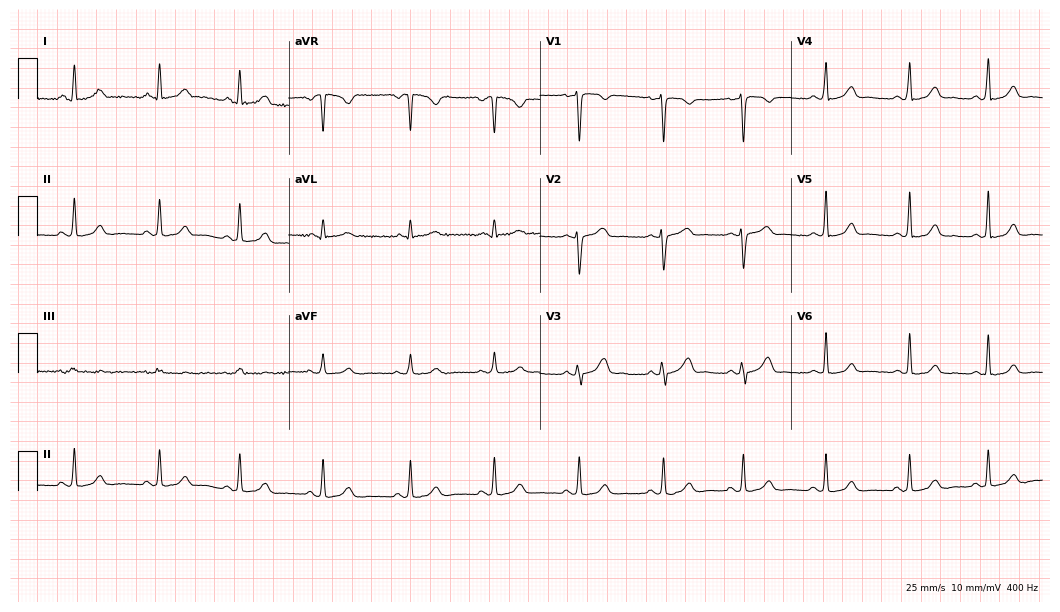
Standard 12-lead ECG recorded from a 27-year-old female patient (10.2-second recording at 400 Hz). Read as a normal ECG.